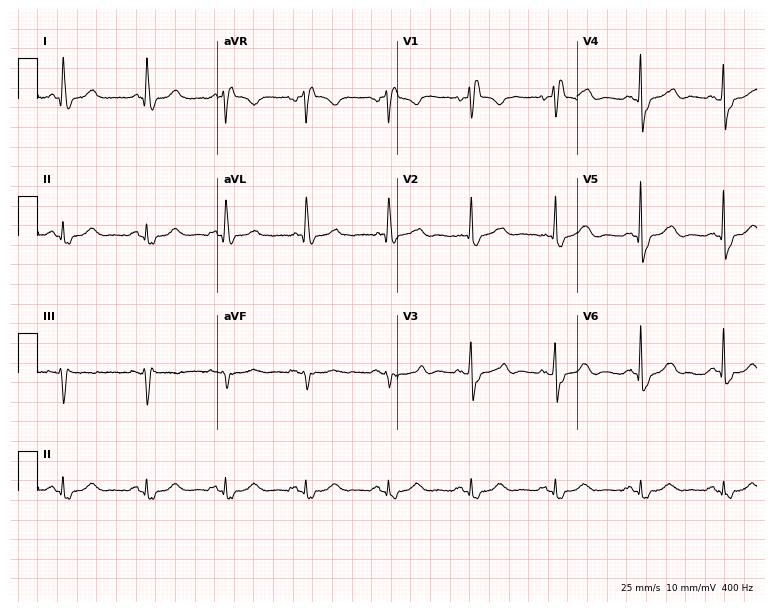
12-lead ECG (7.3-second recording at 400 Hz) from a woman, 77 years old. Findings include right bundle branch block.